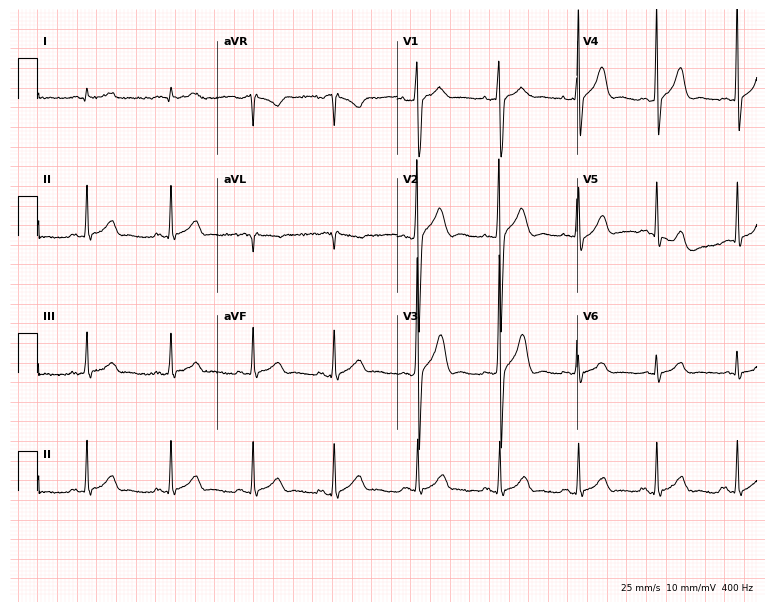
Electrocardiogram, a male, 29 years old. Overall reading on record: normal ECG.